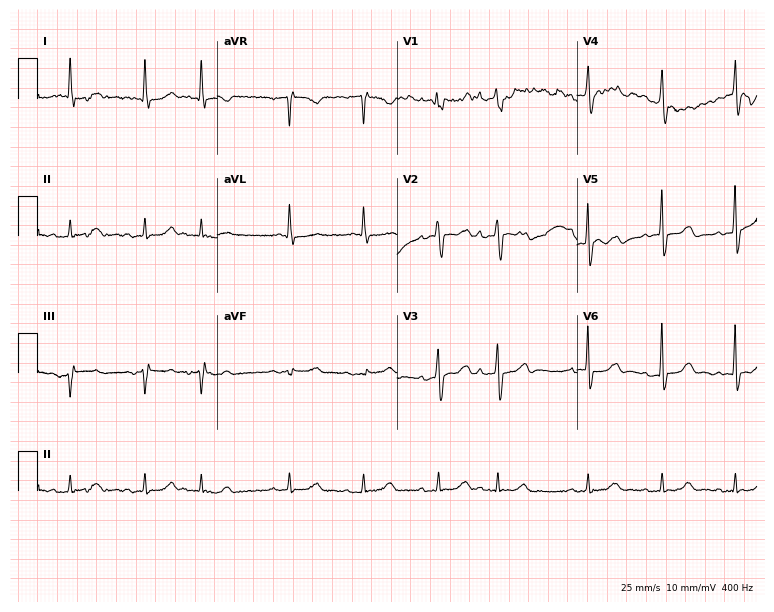
Standard 12-lead ECG recorded from a 72-year-old female patient (7.3-second recording at 400 Hz). None of these six findings is recorded: first-degree AV block, right bundle branch block (RBBB), left bundle branch block (LBBB), sinus bradycardia, atrial fibrillation (AF), sinus tachycardia.